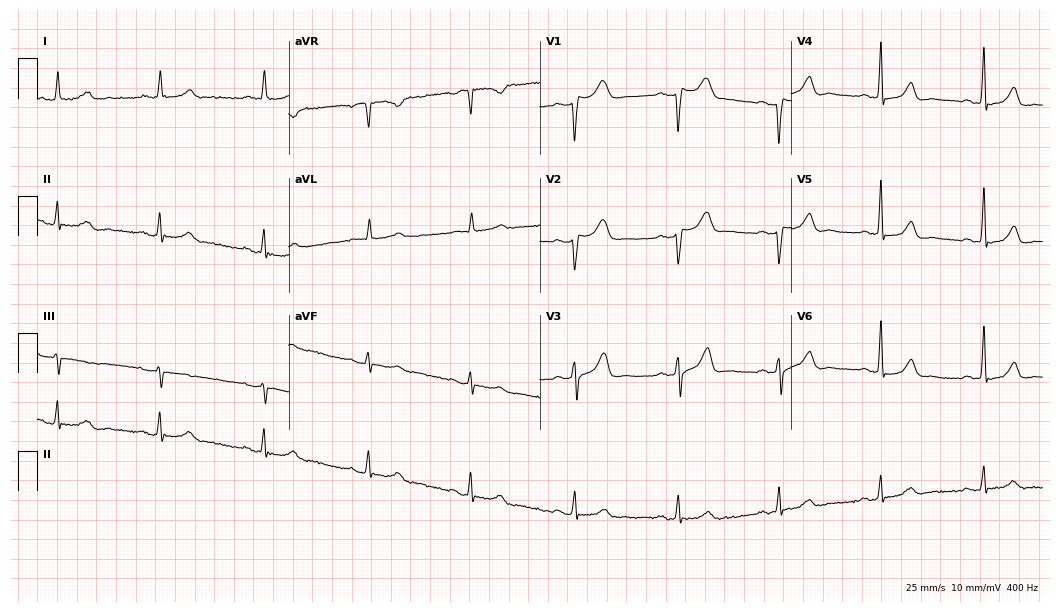
Standard 12-lead ECG recorded from a 51-year-old male patient (10.2-second recording at 400 Hz). None of these six findings is recorded: first-degree AV block, right bundle branch block, left bundle branch block, sinus bradycardia, atrial fibrillation, sinus tachycardia.